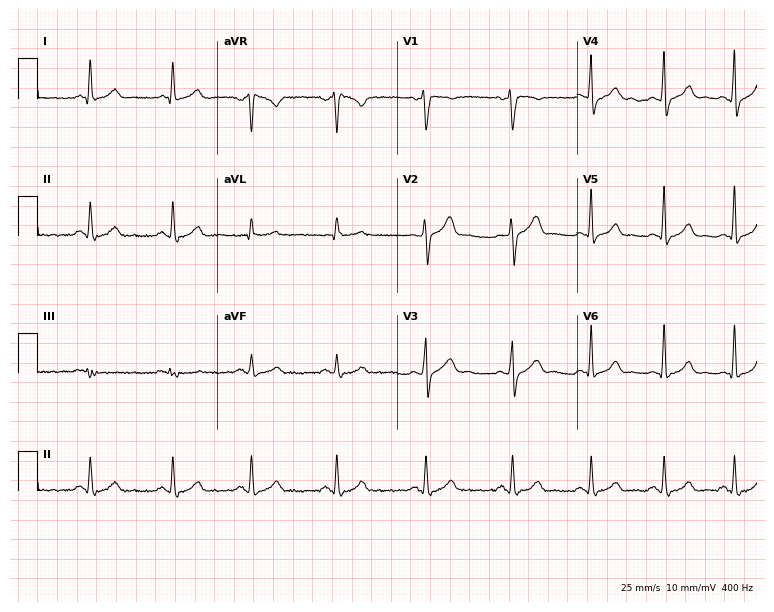
12-lead ECG from a man, 30 years old. Screened for six findings — first-degree AV block, right bundle branch block, left bundle branch block, sinus bradycardia, atrial fibrillation, sinus tachycardia — none is recorded.